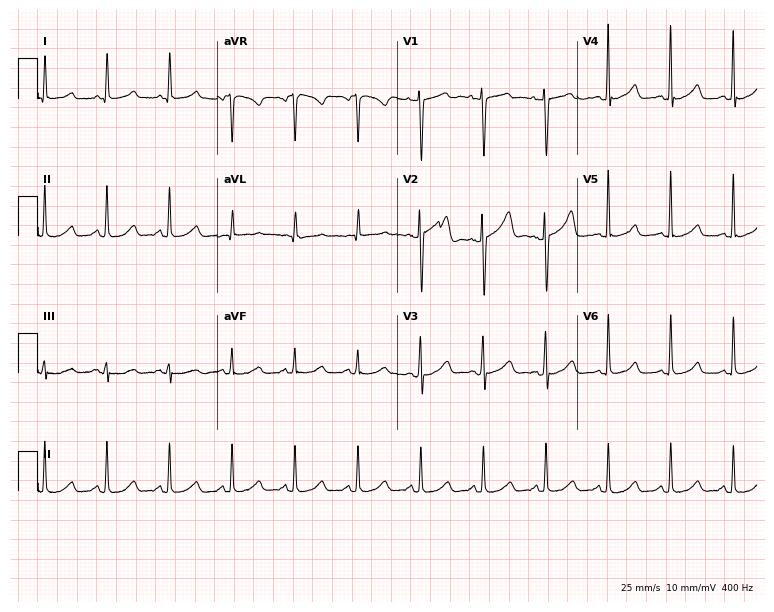
12-lead ECG from a female patient, 64 years old. Recorded interpretation: within normal limits.